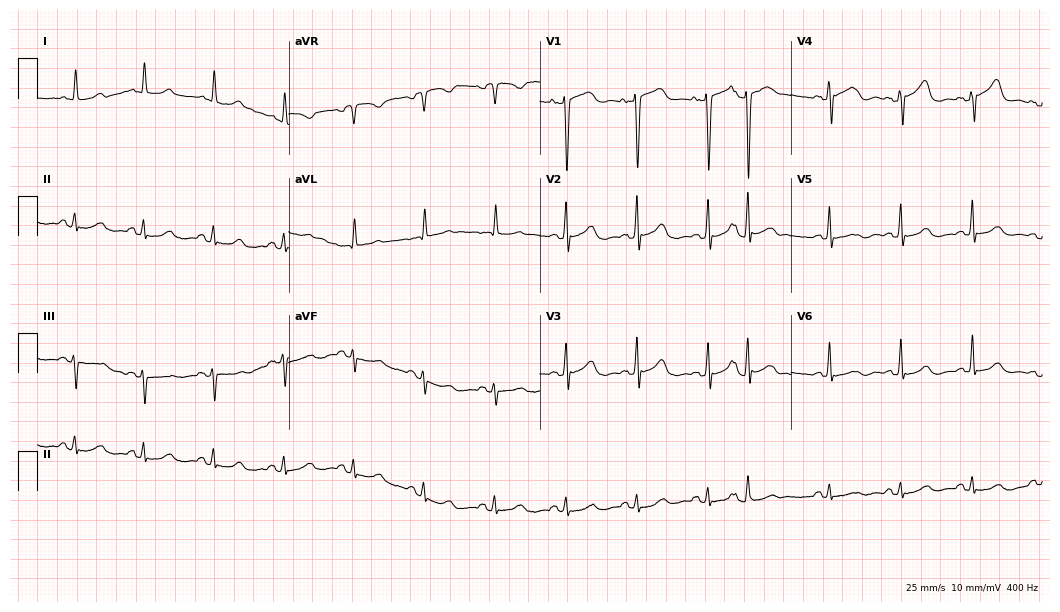
12-lead ECG from an 80-year-old female patient. Recorded interpretation: within normal limits.